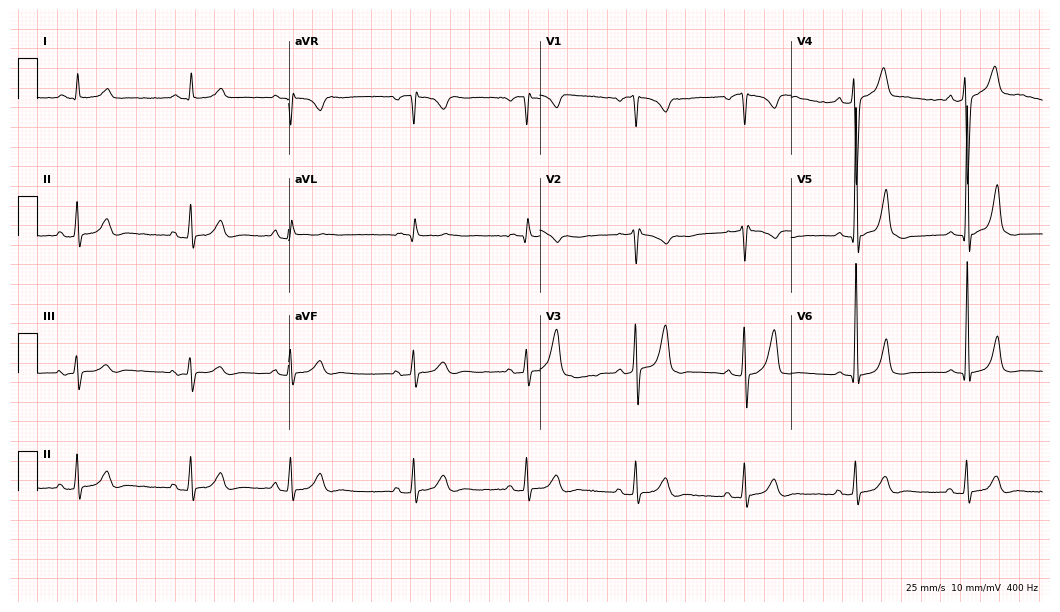
Resting 12-lead electrocardiogram (10.2-second recording at 400 Hz). Patient: a male, 60 years old. Read as a normal ECG.